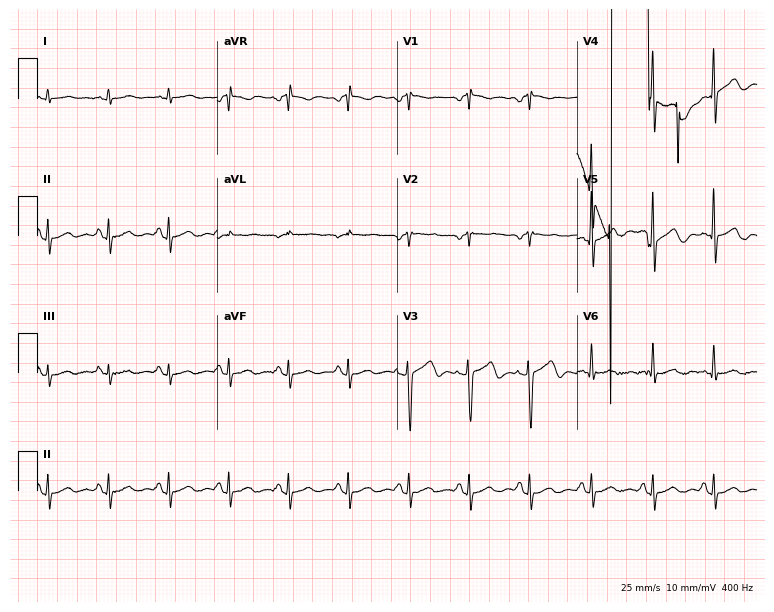
12-lead ECG from a 48-year-old male. No first-degree AV block, right bundle branch block, left bundle branch block, sinus bradycardia, atrial fibrillation or sinus tachycardia recorded for this tracing. Only these six findings were labelled.